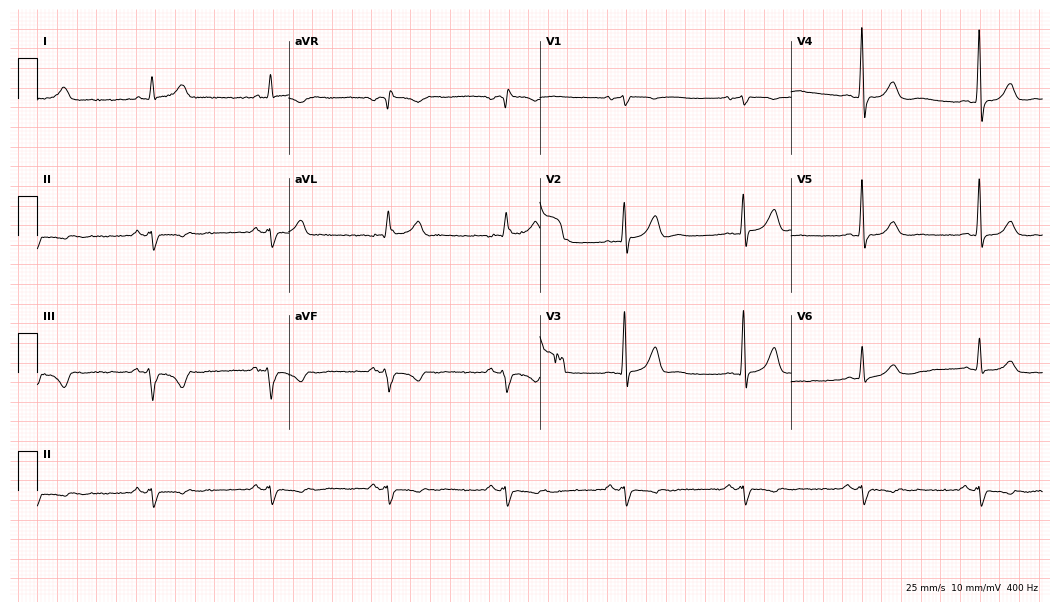
ECG (10.2-second recording at 400 Hz) — a 77-year-old male. Screened for six findings — first-degree AV block, right bundle branch block, left bundle branch block, sinus bradycardia, atrial fibrillation, sinus tachycardia — none is recorded. Other findings, if any, are not listed.